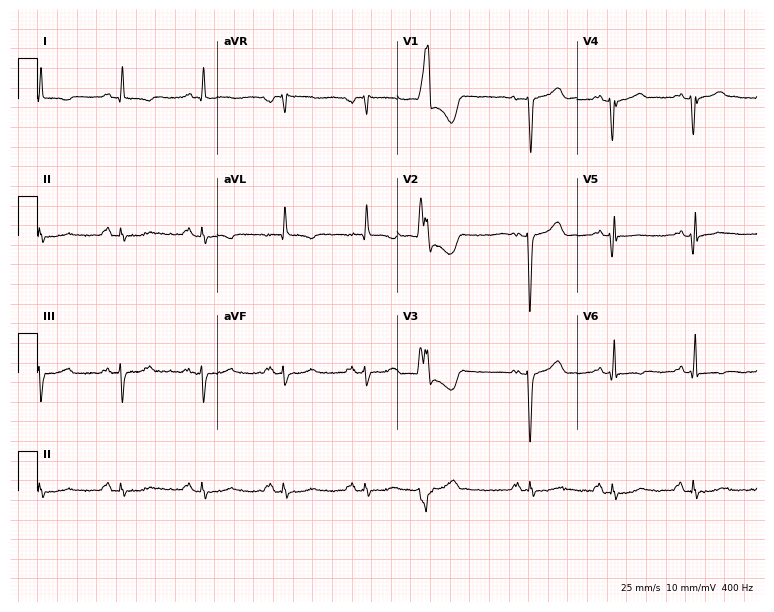
12-lead ECG (7.3-second recording at 400 Hz) from an 81-year-old female patient. Screened for six findings — first-degree AV block, right bundle branch block, left bundle branch block, sinus bradycardia, atrial fibrillation, sinus tachycardia — none is recorded.